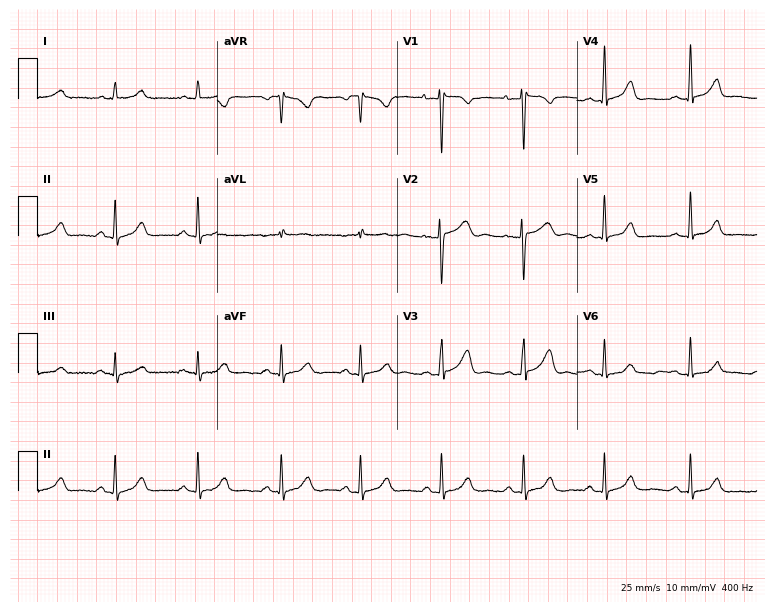
Resting 12-lead electrocardiogram (7.3-second recording at 400 Hz). Patient: a woman, 33 years old. None of these six findings is recorded: first-degree AV block, right bundle branch block, left bundle branch block, sinus bradycardia, atrial fibrillation, sinus tachycardia. Only these six findings were labelled.